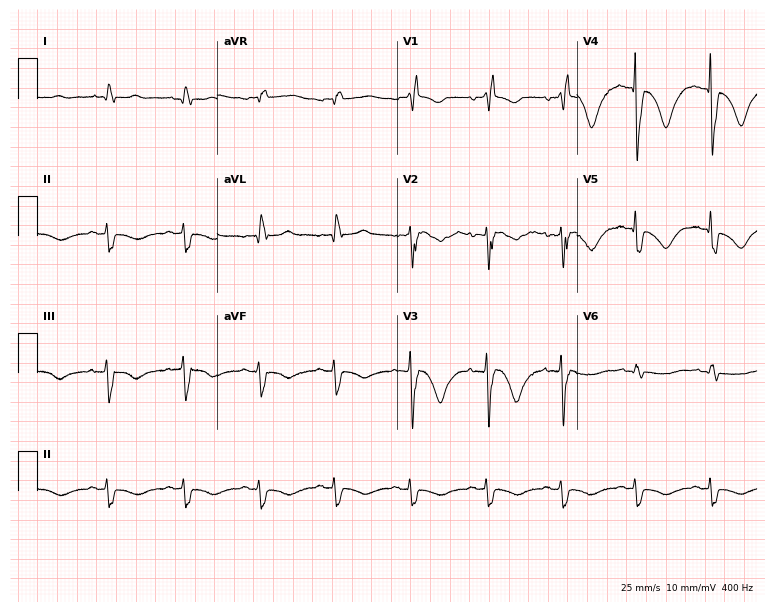
12-lead ECG from a female patient, 85 years old (7.3-second recording at 400 Hz). Shows right bundle branch block (RBBB).